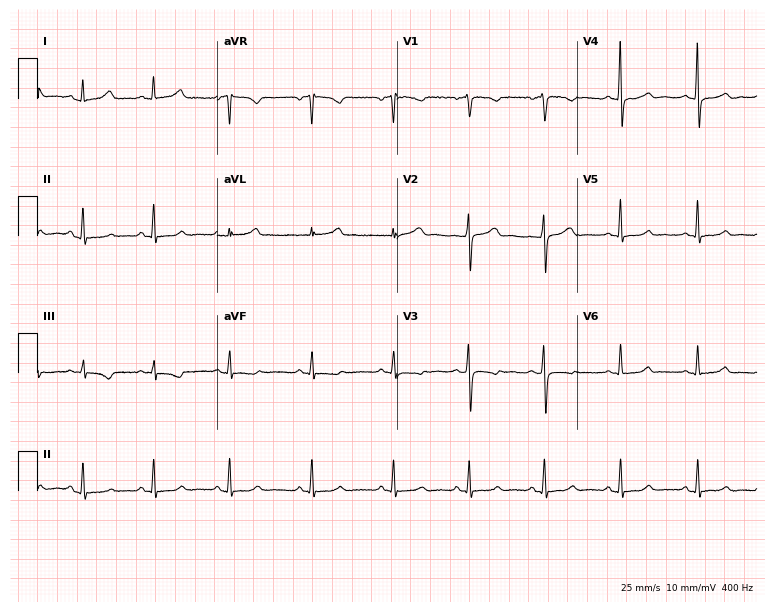
Resting 12-lead electrocardiogram (7.3-second recording at 400 Hz). Patient: a 34-year-old woman. Read as a normal ECG.